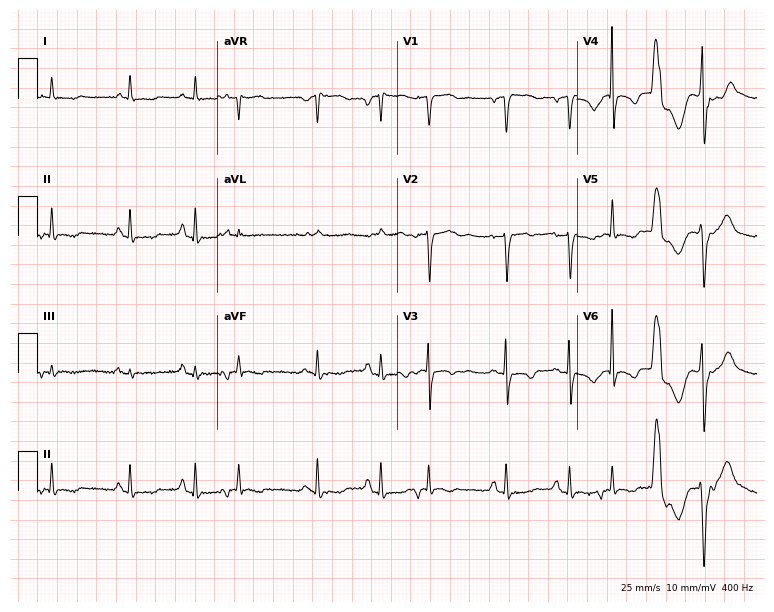
12-lead ECG from a female patient, 85 years old. Screened for six findings — first-degree AV block, right bundle branch block, left bundle branch block, sinus bradycardia, atrial fibrillation, sinus tachycardia — none is recorded. Findings outside these six are not listed.